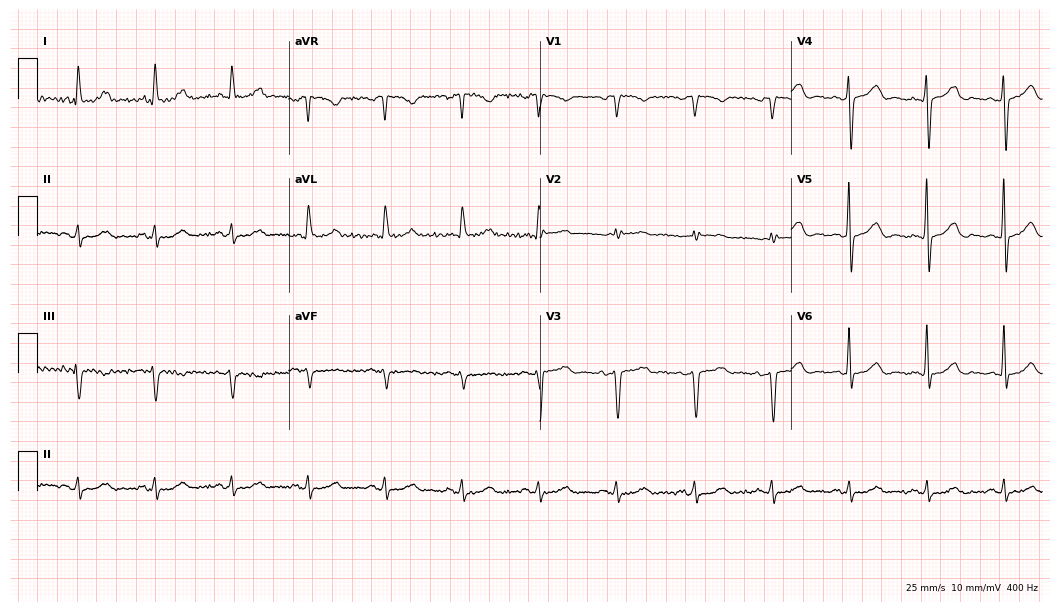
12-lead ECG from a male patient, 75 years old. Screened for six findings — first-degree AV block, right bundle branch block, left bundle branch block, sinus bradycardia, atrial fibrillation, sinus tachycardia — none is recorded. Findings outside these six are not listed.